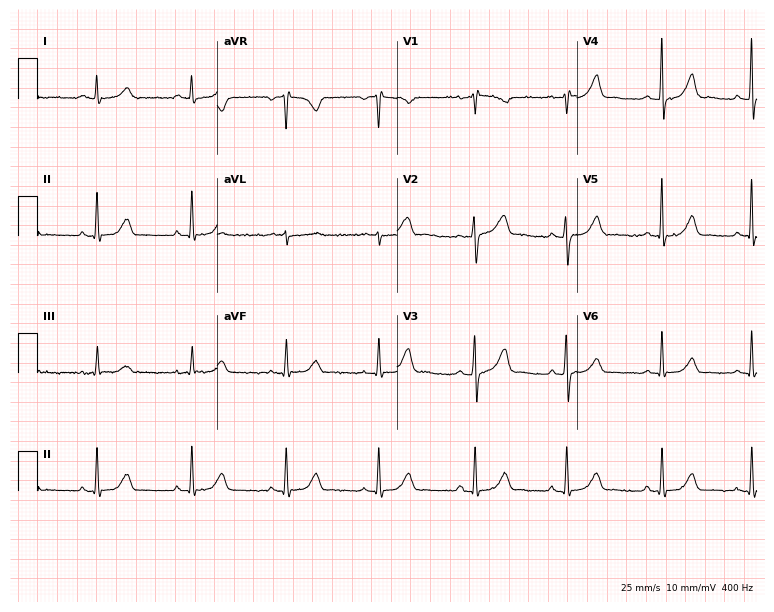
Electrocardiogram, a female patient, 58 years old. Overall reading on record: normal ECG.